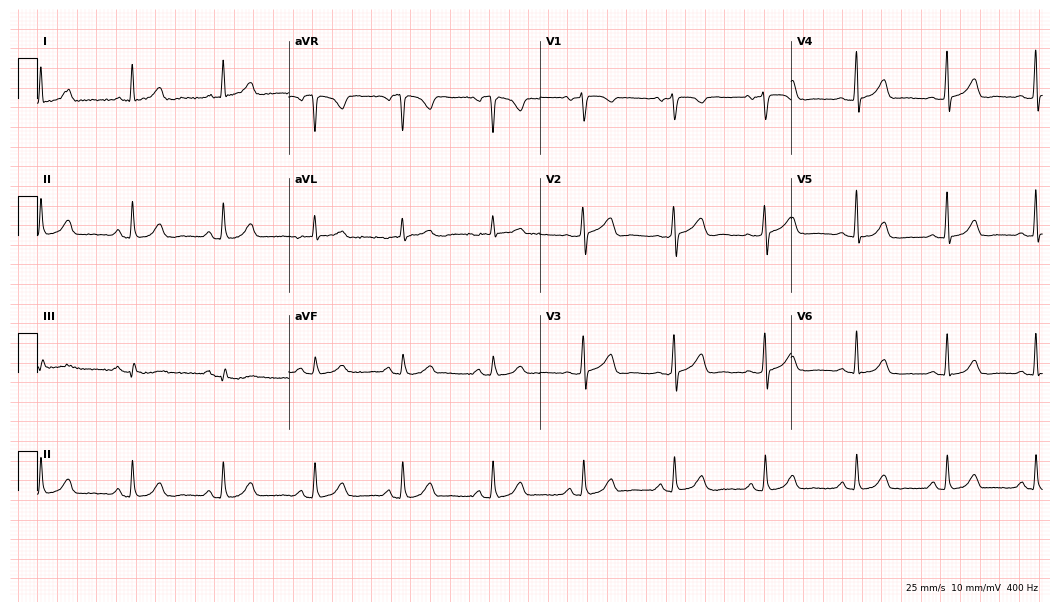
12-lead ECG from a 73-year-old female. Labelled as a normal ECG.